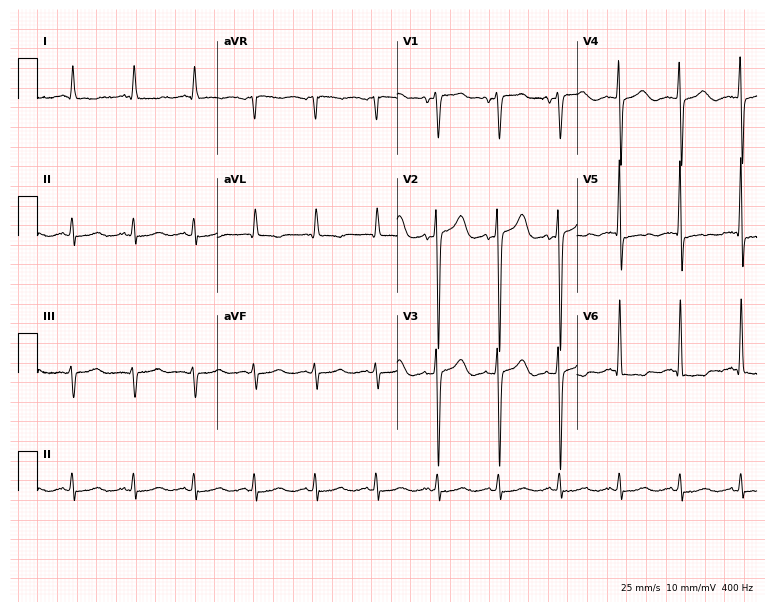
Resting 12-lead electrocardiogram (7.3-second recording at 400 Hz). Patient: an 84-year-old male. None of these six findings is recorded: first-degree AV block, right bundle branch block, left bundle branch block, sinus bradycardia, atrial fibrillation, sinus tachycardia.